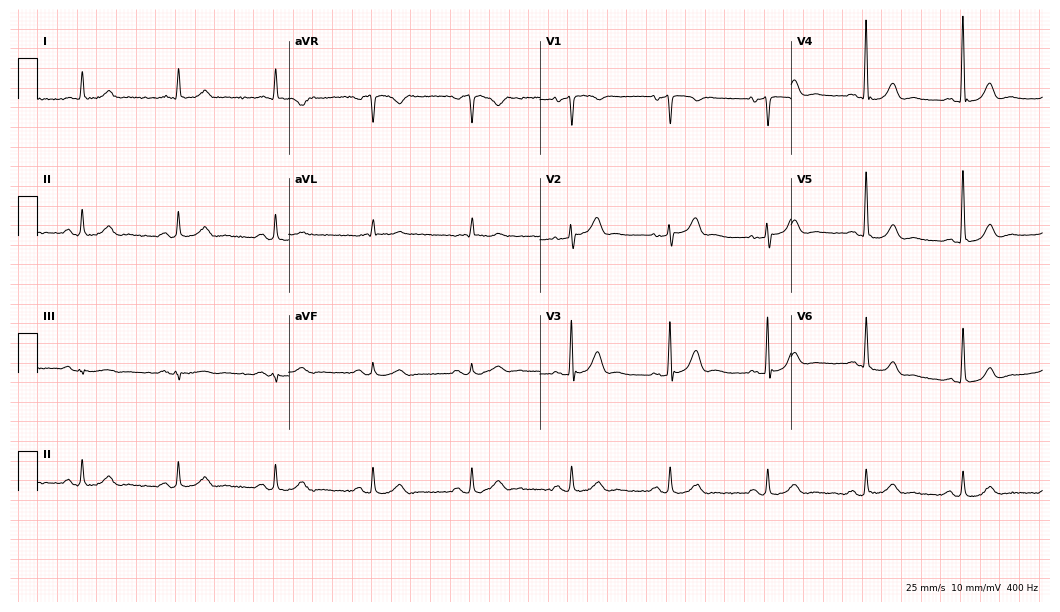
12-lead ECG (10.2-second recording at 400 Hz) from a male patient, 76 years old. Labelled as a normal ECG.